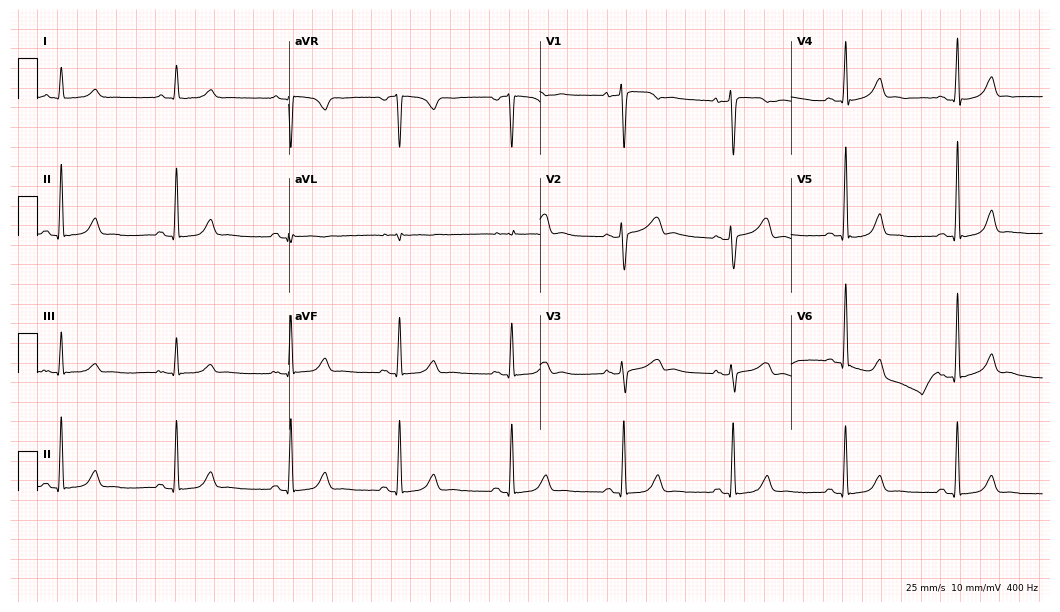
Resting 12-lead electrocardiogram. Patient: a 48-year-old female. None of these six findings is recorded: first-degree AV block, right bundle branch block (RBBB), left bundle branch block (LBBB), sinus bradycardia, atrial fibrillation (AF), sinus tachycardia.